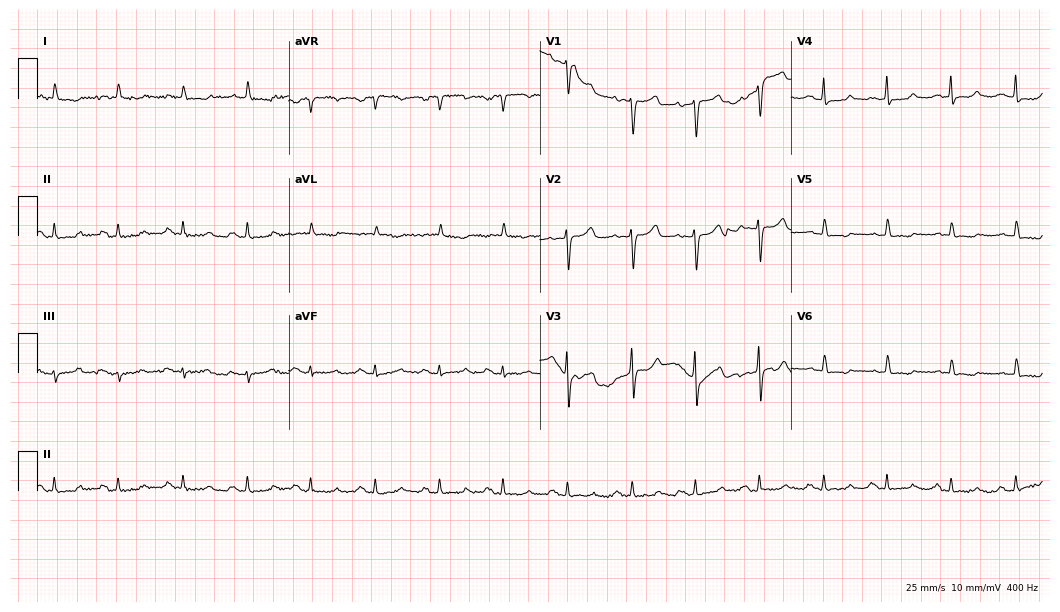
12-lead ECG from a 74-year-old female. No first-degree AV block, right bundle branch block, left bundle branch block, sinus bradycardia, atrial fibrillation or sinus tachycardia recorded for this tracing.